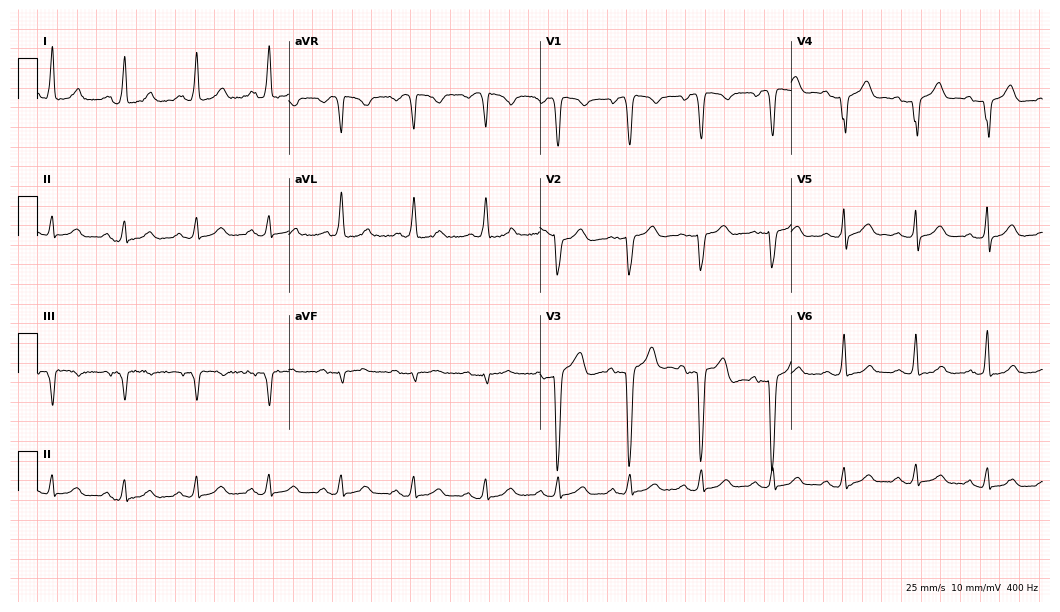
Resting 12-lead electrocardiogram (10.2-second recording at 400 Hz). Patient: a 73-year-old male. None of these six findings is recorded: first-degree AV block, right bundle branch block, left bundle branch block, sinus bradycardia, atrial fibrillation, sinus tachycardia. Only these six findings were labelled.